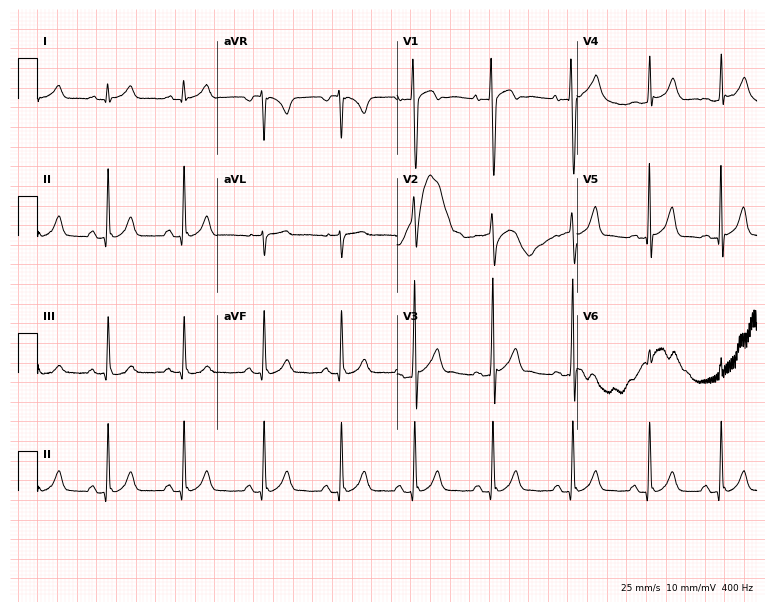
12-lead ECG from a male patient, 17 years old. Recorded interpretation: within normal limits.